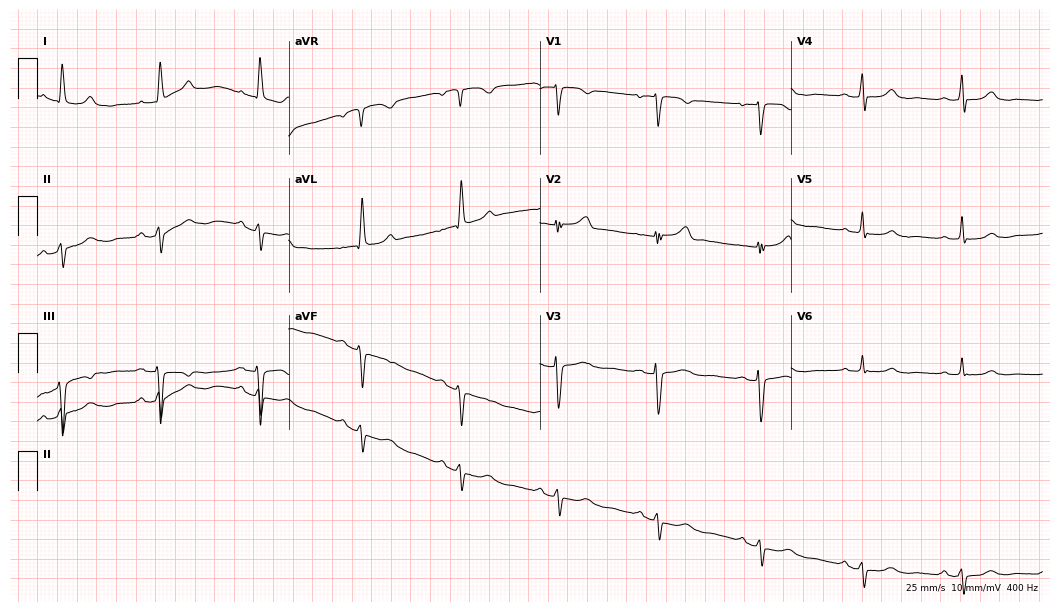
Resting 12-lead electrocardiogram (10.2-second recording at 400 Hz). Patient: a female, 73 years old. None of these six findings is recorded: first-degree AV block, right bundle branch block, left bundle branch block, sinus bradycardia, atrial fibrillation, sinus tachycardia.